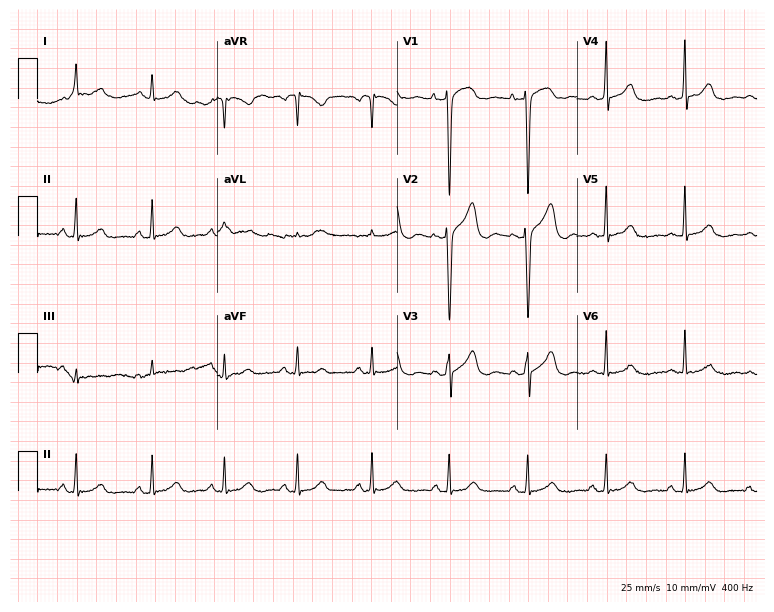
12-lead ECG from a 52-year-old female patient. No first-degree AV block, right bundle branch block, left bundle branch block, sinus bradycardia, atrial fibrillation or sinus tachycardia recorded for this tracing. Other findings, if any, are not listed.